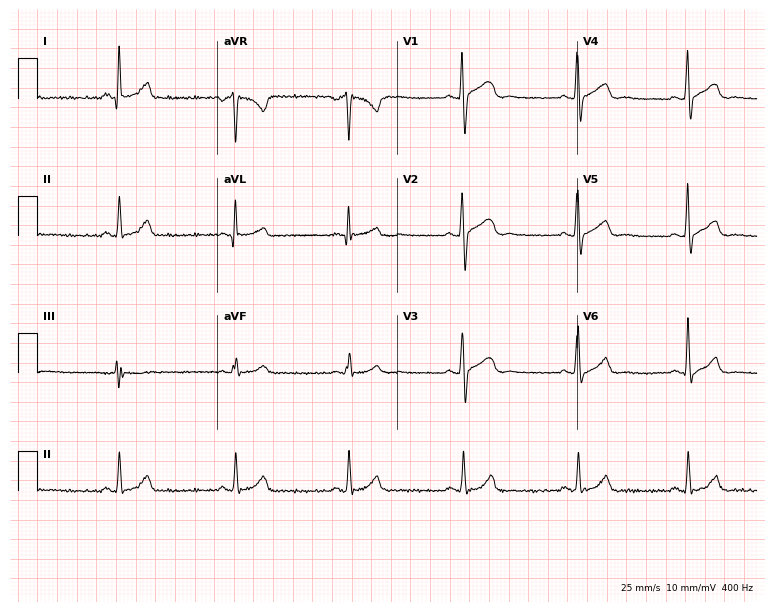
12-lead ECG from a male patient, 49 years old. Recorded interpretation: within normal limits.